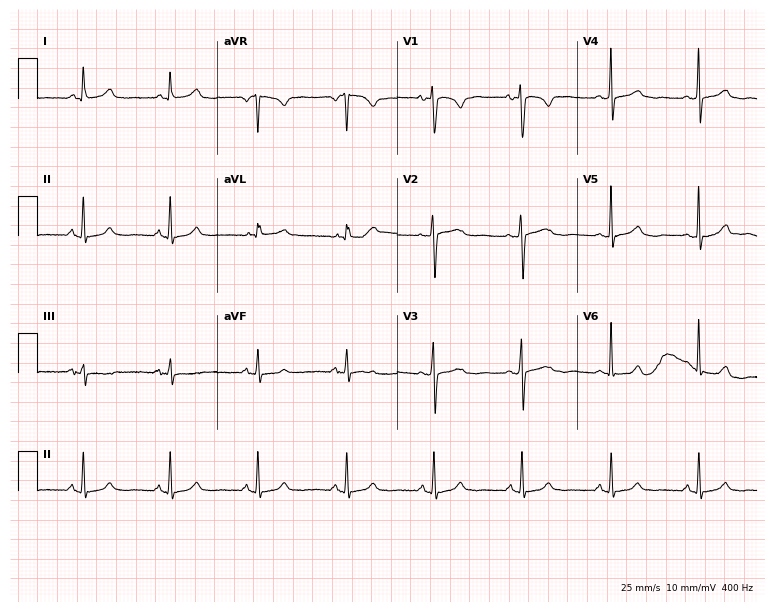
Electrocardiogram, a 60-year-old woman. Overall reading on record: normal ECG.